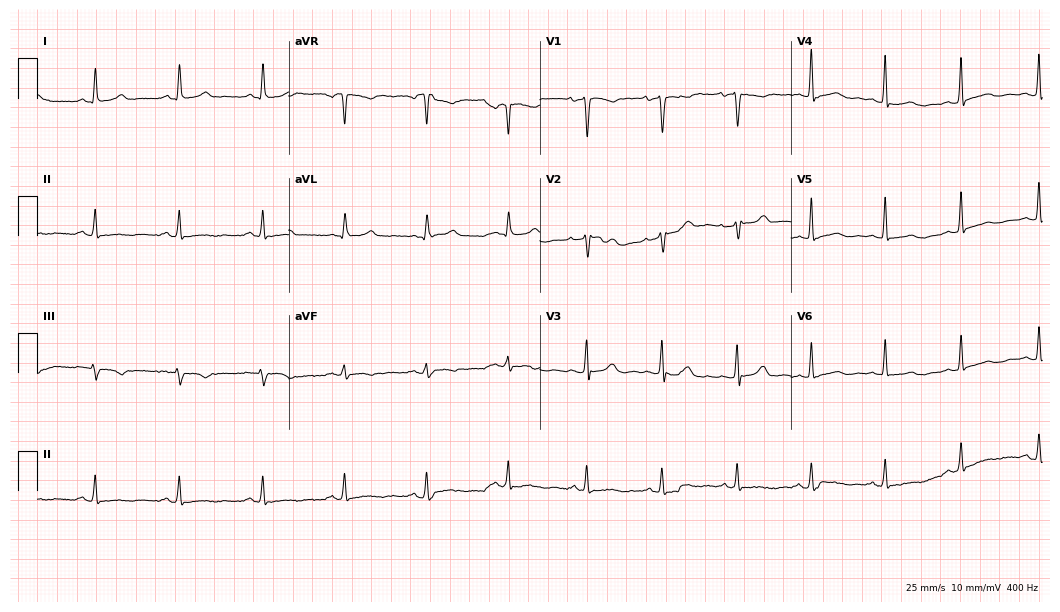
ECG — a woman, 44 years old. Screened for six findings — first-degree AV block, right bundle branch block, left bundle branch block, sinus bradycardia, atrial fibrillation, sinus tachycardia — none is recorded. Other findings, if any, are not listed.